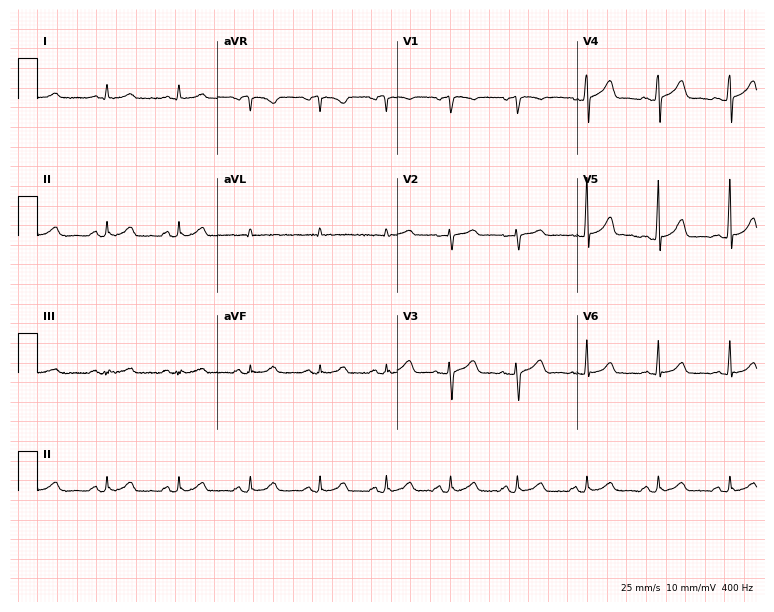
12-lead ECG (7.3-second recording at 400 Hz) from a 36-year-old woman. Labelled as a normal ECG.